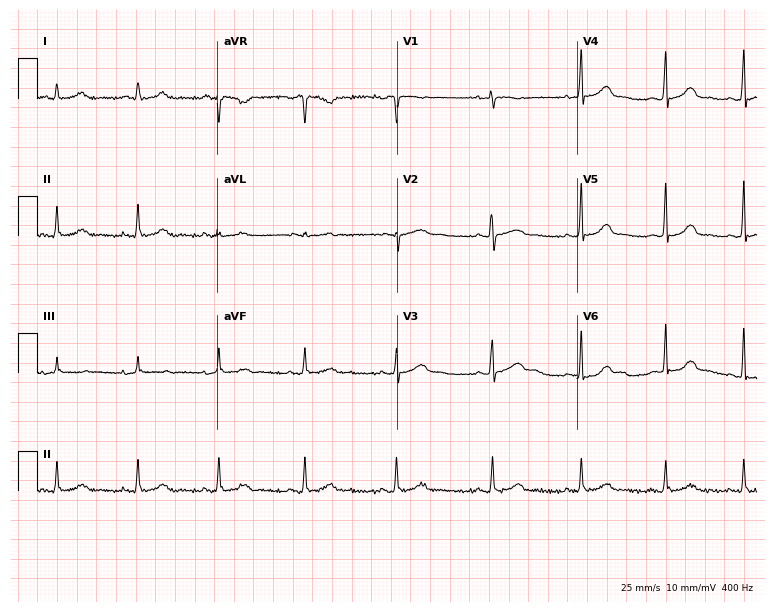
12-lead ECG from a 32-year-old female. Recorded interpretation: within normal limits.